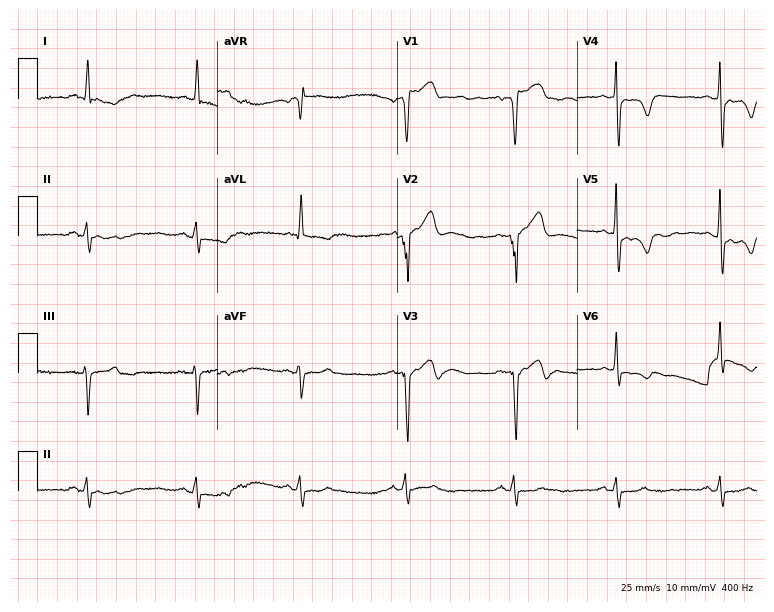
12-lead ECG from a man, 69 years old. No first-degree AV block, right bundle branch block (RBBB), left bundle branch block (LBBB), sinus bradycardia, atrial fibrillation (AF) or sinus tachycardia recorded for this tracing. Findings outside these six are not listed.